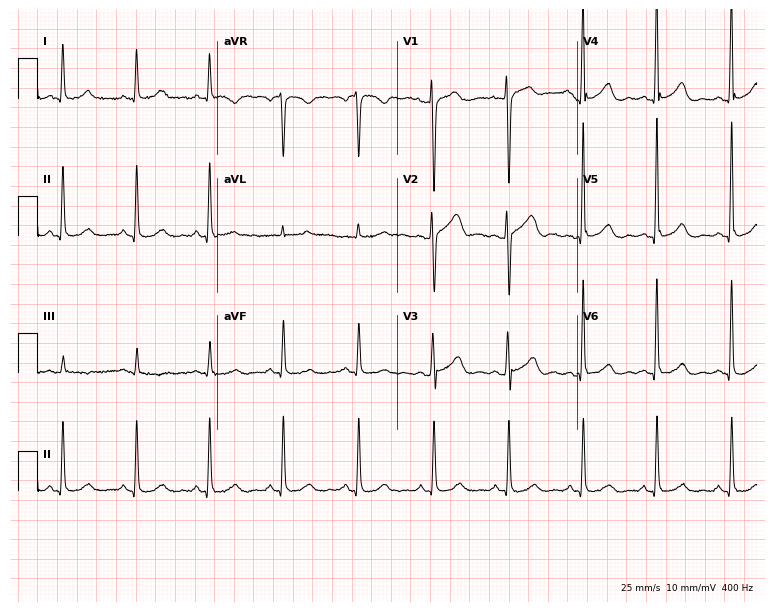
ECG (7.3-second recording at 400 Hz) — a female patient, 63 years old. Labelled as a normal ECG.